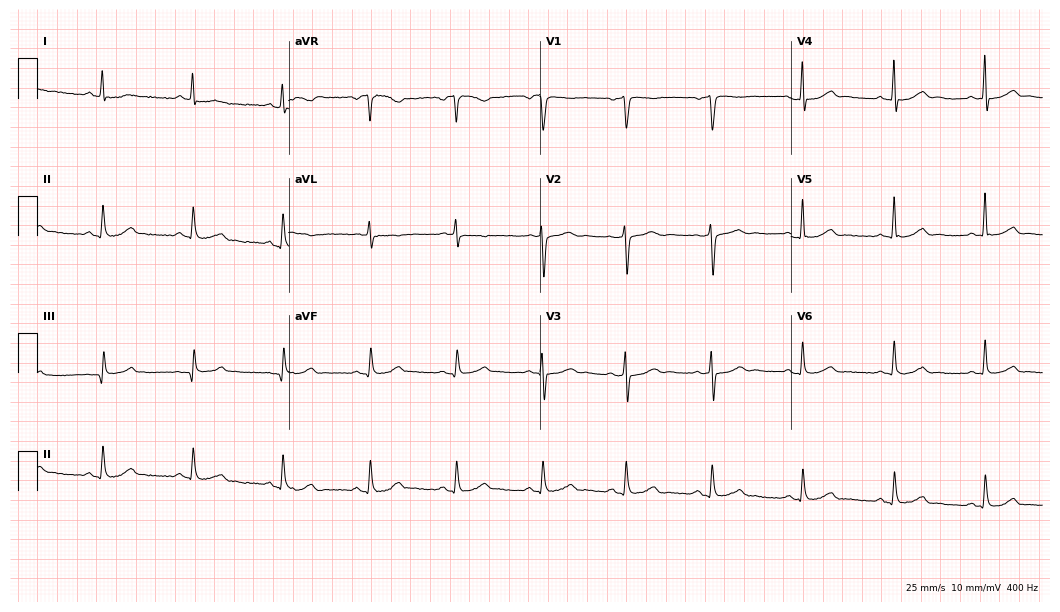
Resting 12-lead electrocardiogram. Patient: a man, 72 years old. Read as a normal ECG.